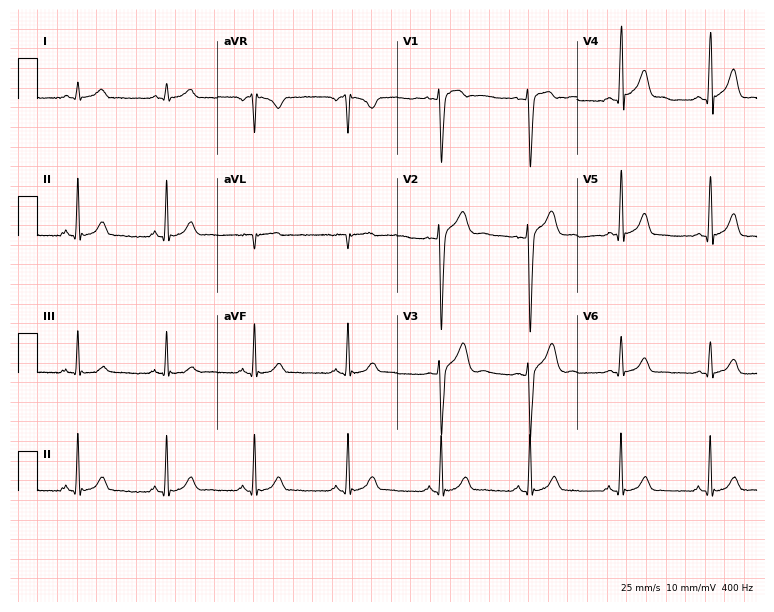
Electrocardiogram, a man, 24 years old. Of the six screened findings (first-degree AV block, right bundle branch block (RBBB), left bundle branch block (LBBB), sinus bradycardia, atrial fibrillation (AF), sinus tachycardia), none is recorded. Findings outside these six are not listed.